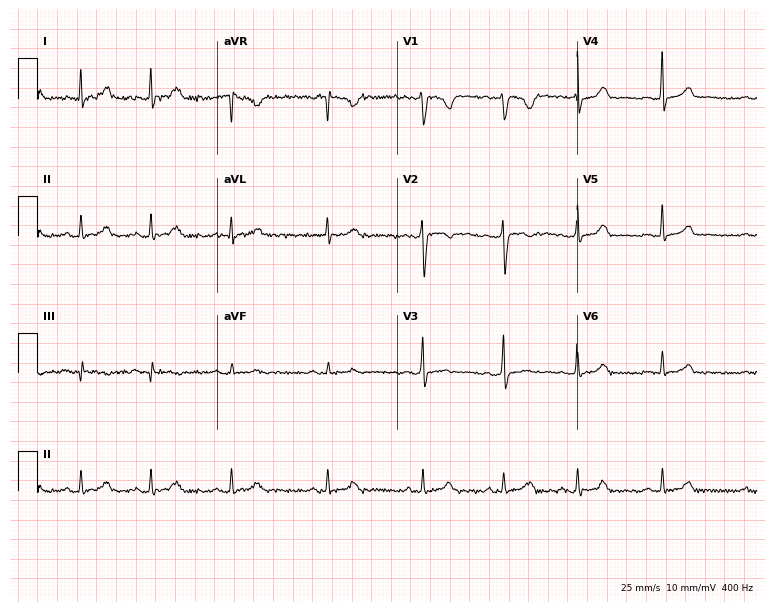
Electrocardiogram (7.3-second recording at 400 Hz), a 22-year-old female patient. Overall reading on record: normal ECG.